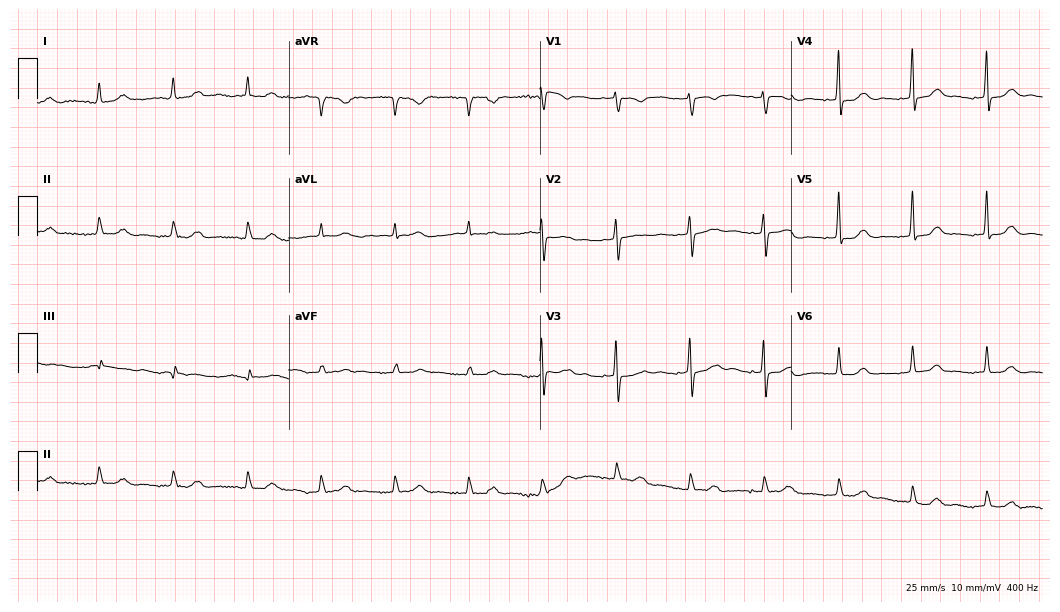
12-lead ECG from a woman, 79 years old. Recorded interpretation: within normal limits.